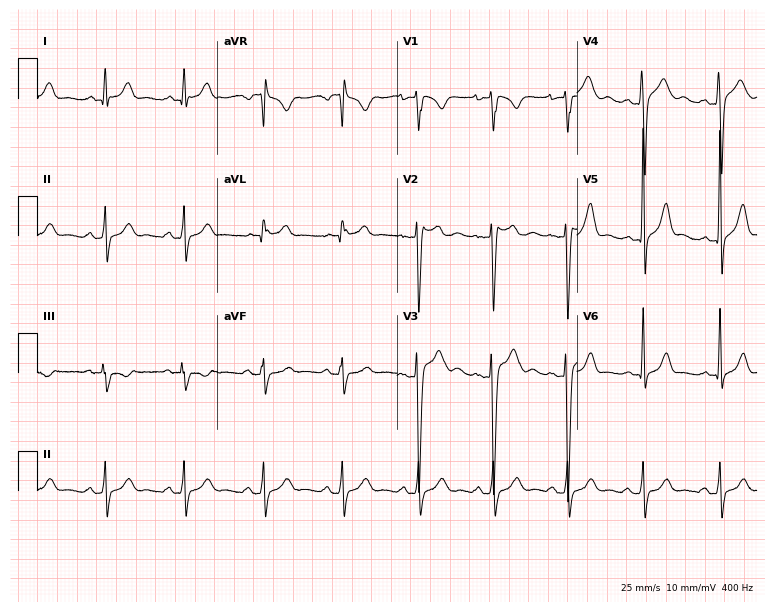
12-lead ECG from a male patient, 21 years old. Labelled as a normal ECG.